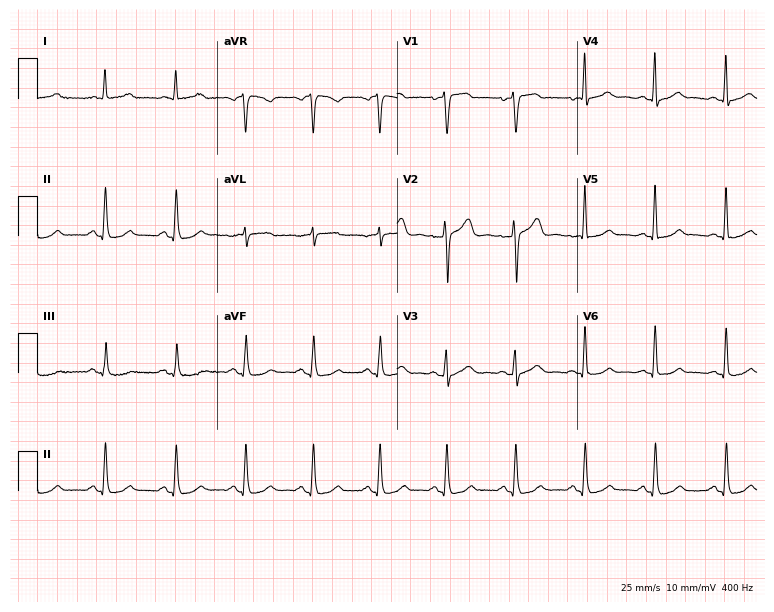
12-lead ECG (7.3-second recording at 400 Hz) from a woman, 62 years old. Labelled as a normal ECG.